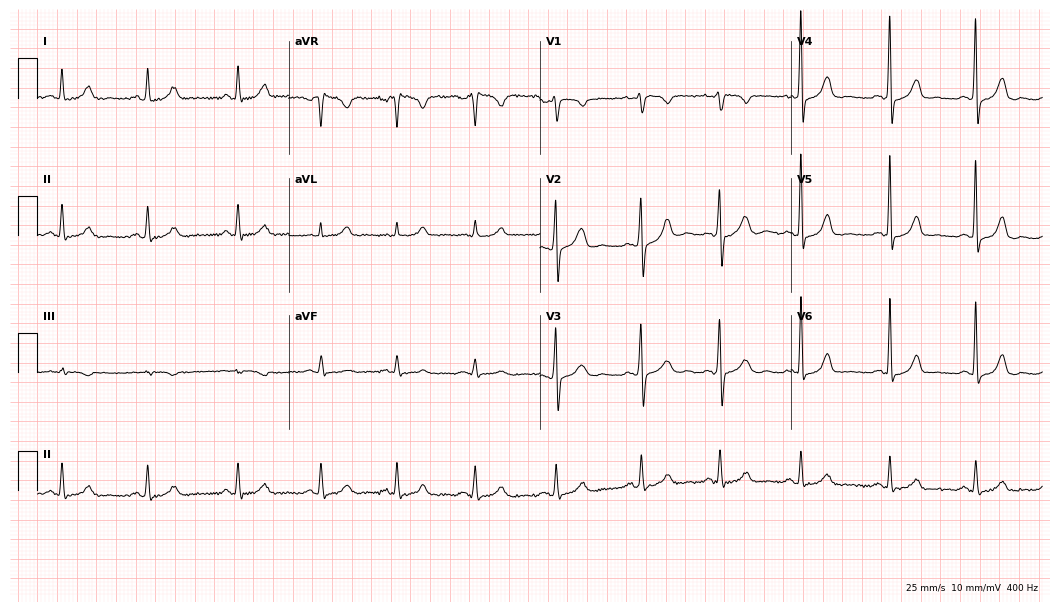
12-lead ECG from a 36-year-old female patient. Recorded interpretation: within normal limits.